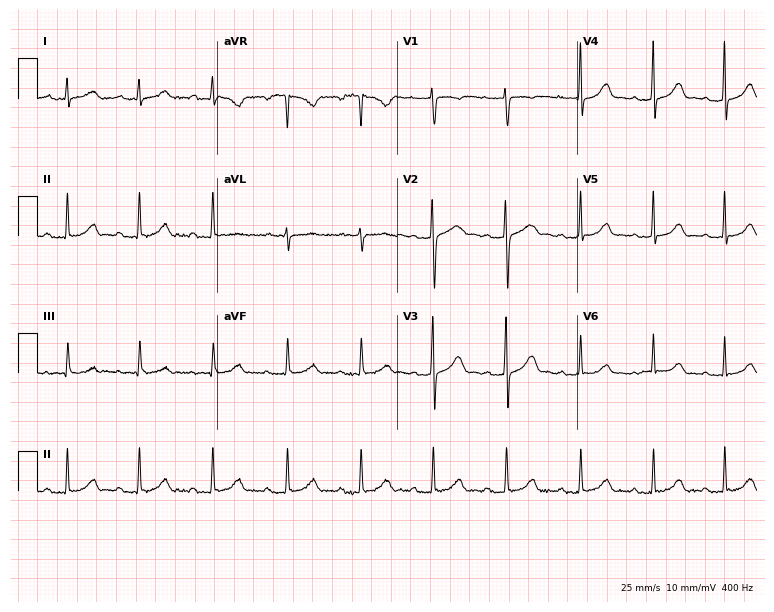
12-lead ECG from a 25-year-old female patient. Labelled as a normal ECG.